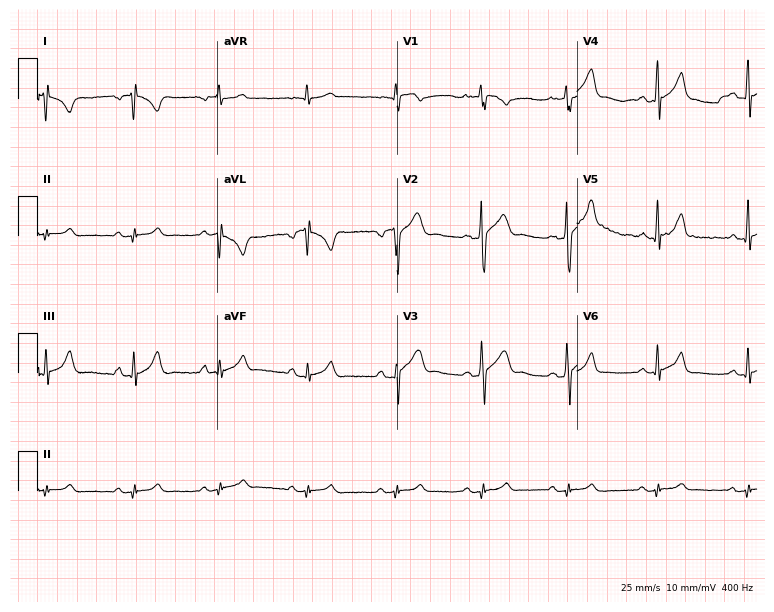
12-lead ECG (7.3-second recording at 400 Hz) from a male, 24 years old. Screened for six findings — first-degree AV block, right bundle branch block, left bundle branch block, sinus bradycardia, atrial fibrillation, sinus tachycardia — none is recorded.